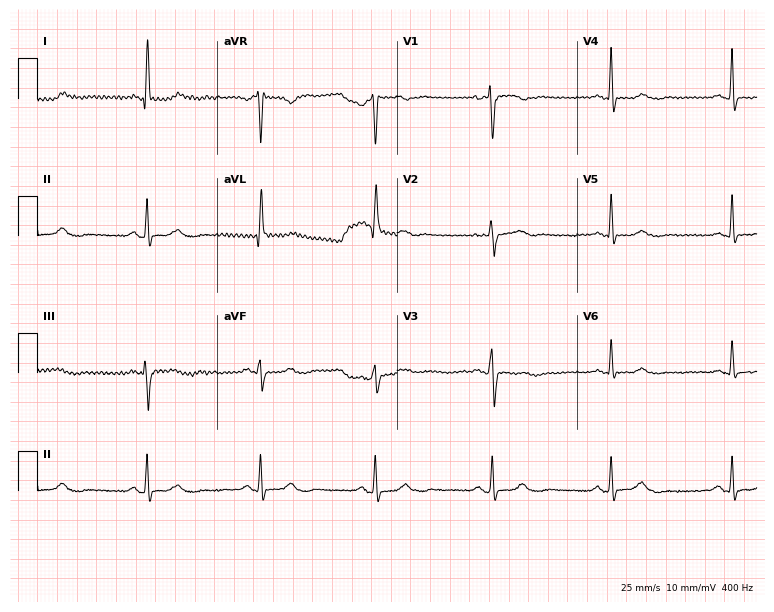
ECG (7.3-second recording at 400 Hz) — a 61-year-old female. Findings include sinus bradycardia (a sinus rate of 50 beats per minute or less).